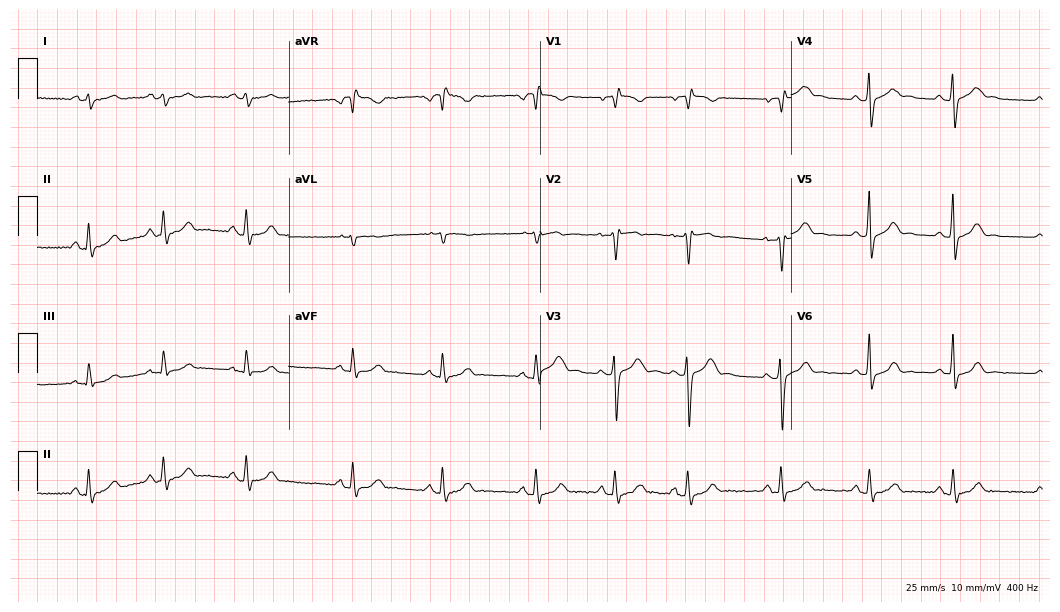
Resting 12-lead electrocardiogram (10.2-second recording at 400 Hz). Patient: an 18-year-old female. None of these six findings is recorded: first-degree AV block, right bundle branch block, left bundle branch block, sinus bradycardia, atrial fibrillation, sinus tachycardia. Other findings, if any, are not listed.